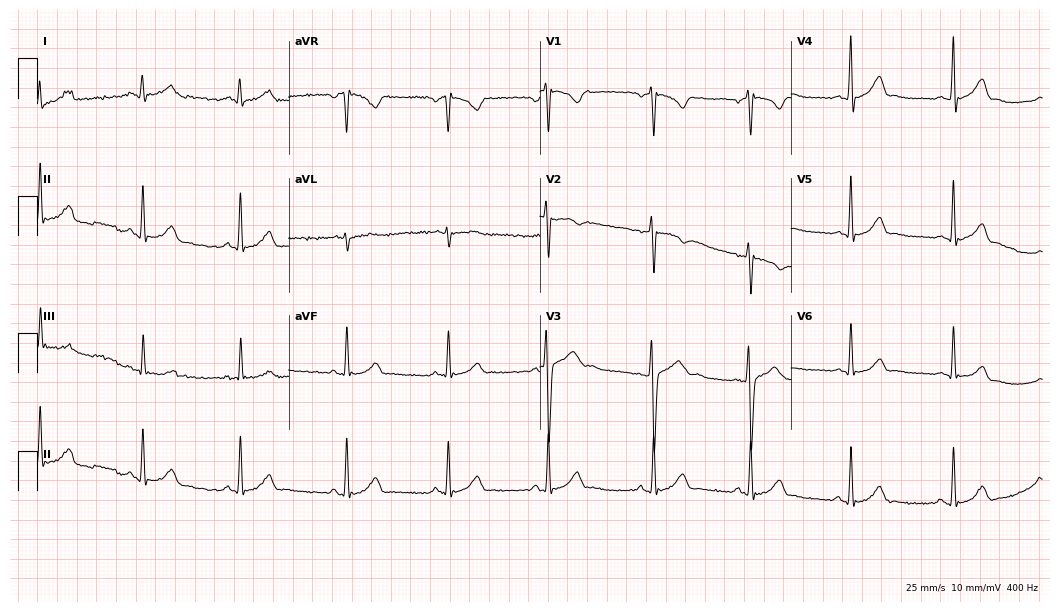
12-lead ECG from a male, 26 years old. No first-degree AV block, right bundle branch block, left bundle branch block, sinus bradycardia, atrial fibrillation or sinus tachycardia recorded for this tracing. Findings outside these six are not listed.